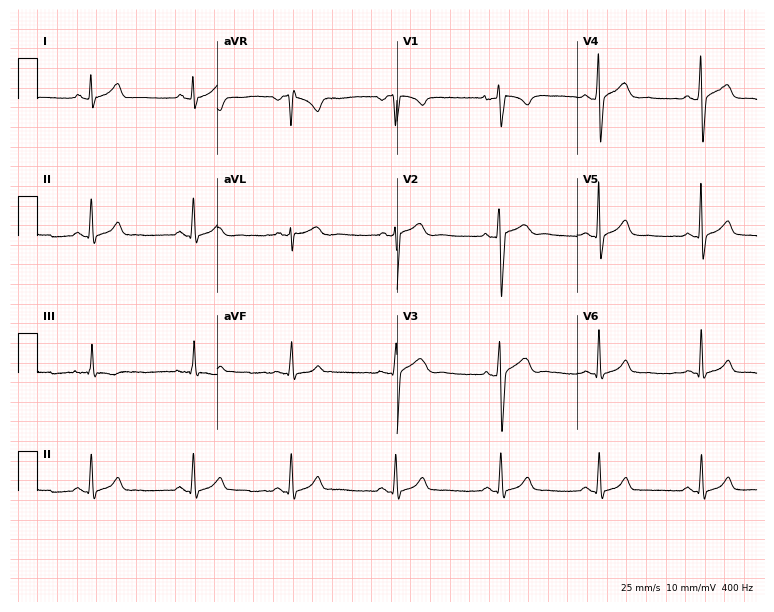
Electrocardiogram, a 30-year-old man. Overall reading on record: normal ECG.